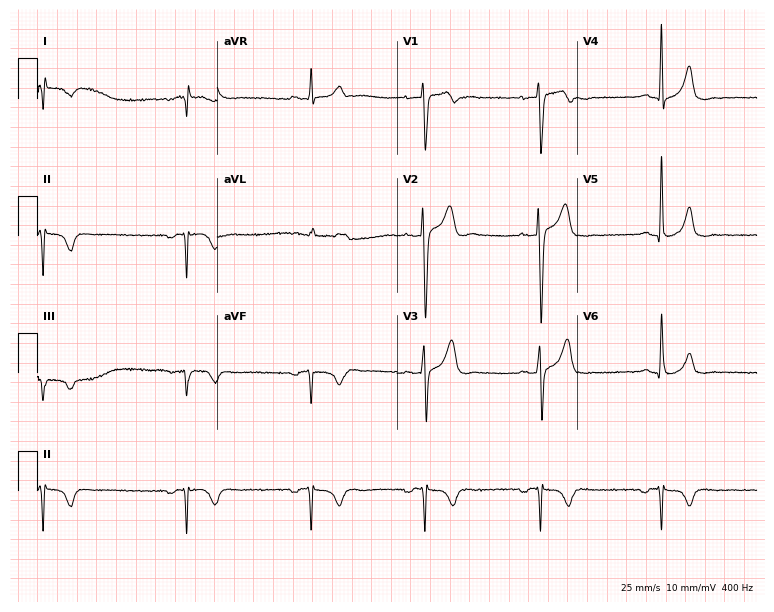
Standard 12-lead ECG recorded from a man, 58 years old. None of these six findings is recorded: first-degree AV block, right bundle branch block, left bundle branch block, sinus bradycardia, atrial fibrillation, sinus tachycardia.